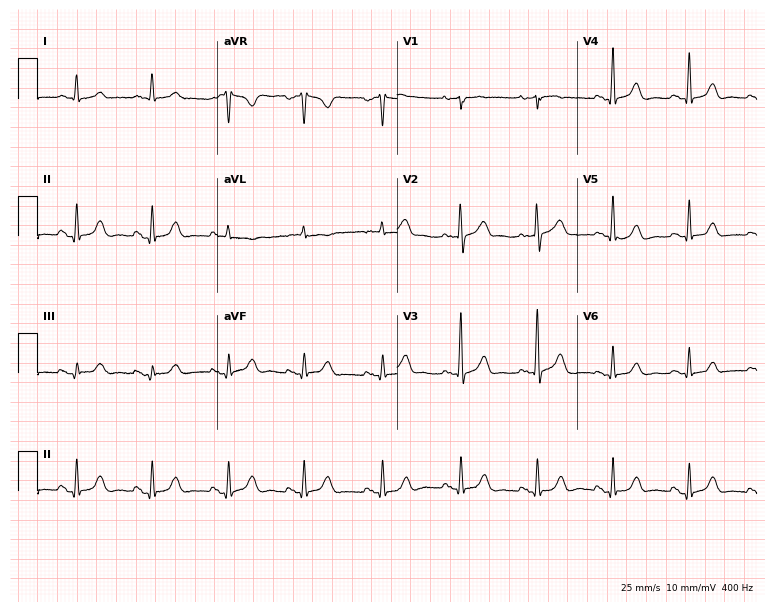
12-lead ECG (7.3-second recording at 400 Hz) from a 63-year-old female. Screened for six findings — first-degree AV block, right bundle branch block, left bundle branch block, sinus bradycardia, atrial fibrillation, sinus tachycardia — none is recorded. Only these six findings were labelled.